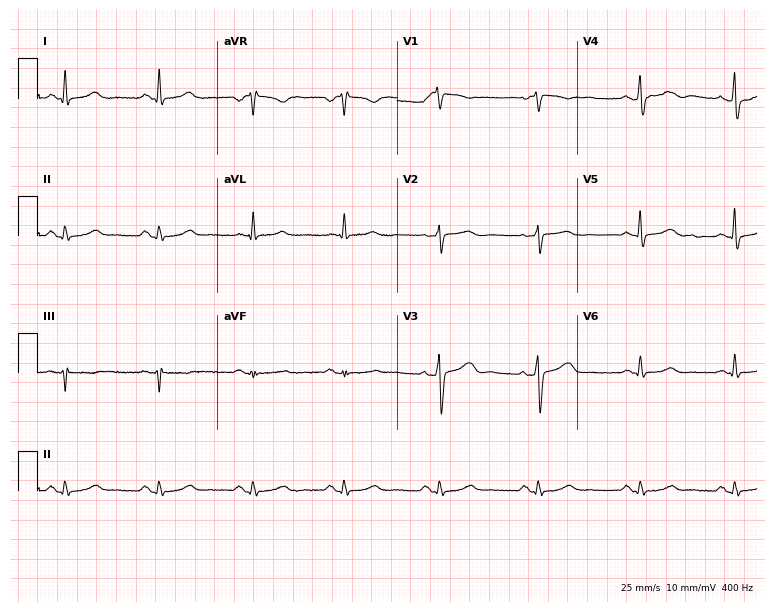
Electrocardiogram, a female patient, 46 years old. Overall reading on record: normal ECG.